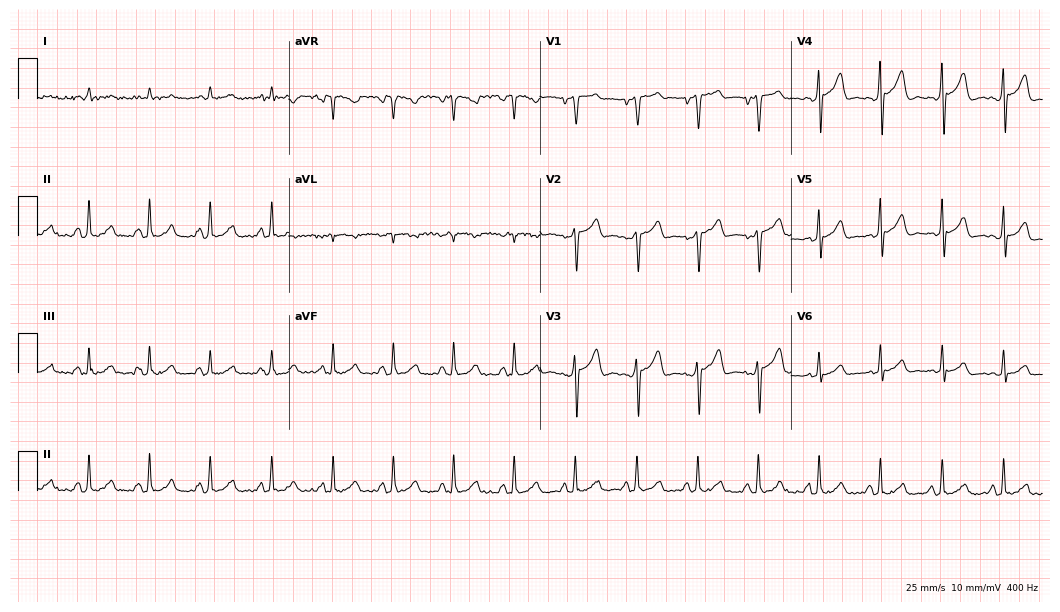
Standard 12-lead ECG recorded from a male patient, 65 years old. None of these six findings is recorded: first-degree AV block, right bundle branch block, left bundle branch block, sinus bradycardia, atrial fibrillation, sinus tachycardia. Findings outside these six are not listed.